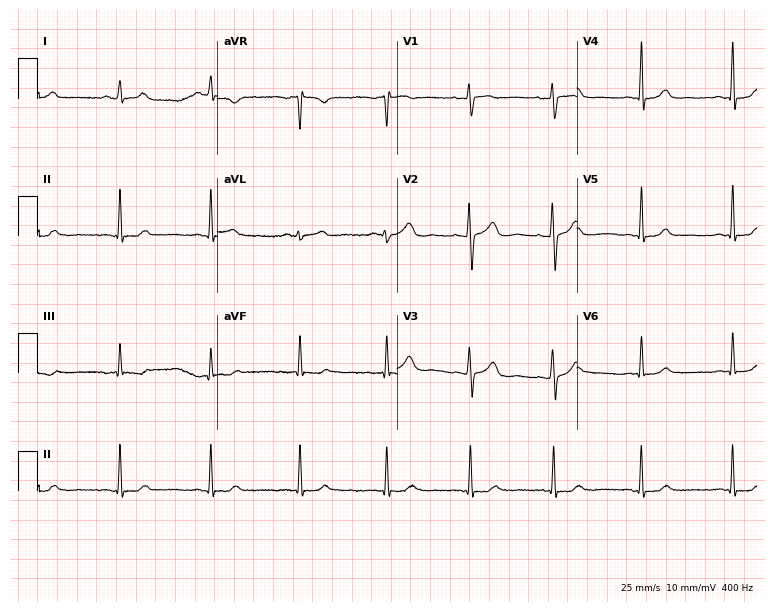
Resting 12-lead electrocardiogram. Patient: a female, 42 years old. Read as a normal ECG.